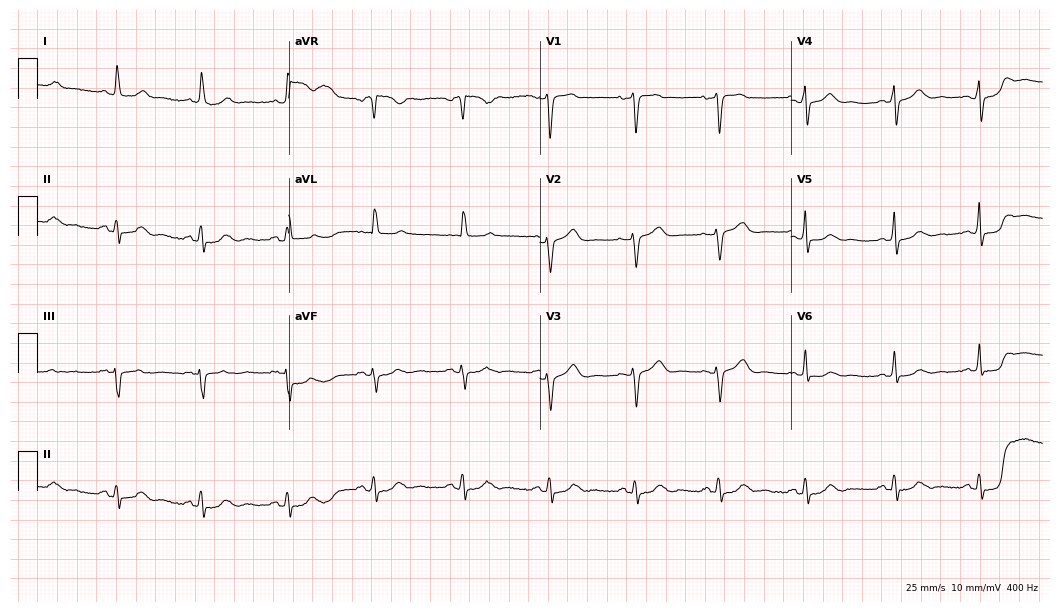
Electrocardiogram (10.2-second recording at 400 Hz), a 73-year-old female patient. Of the six screened findings (first-degree AV block, right bundle branch block, left bundle branch block, sinus bradycardia, atrial fibrillation, sinus tachycardia), none is recorded. Other findings, if any, are not listed.